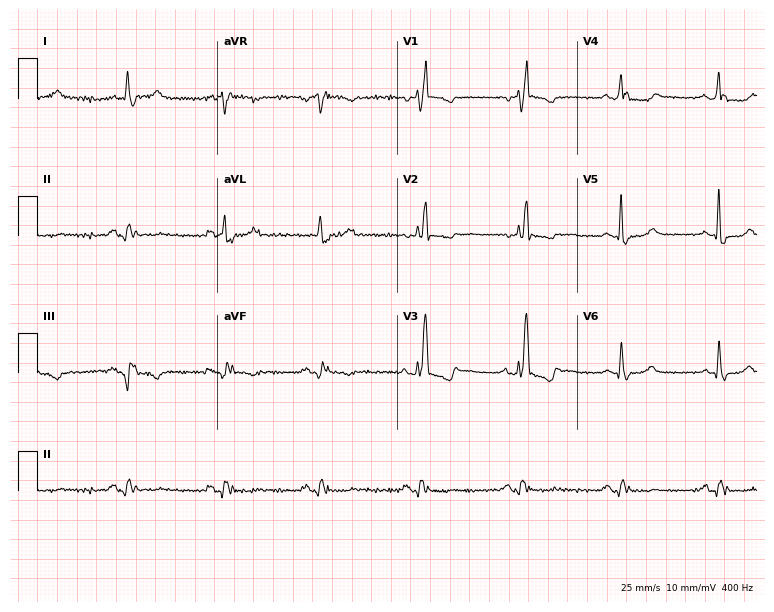
Resting 12-lead electrocardiogram. Patient: a male, 75 years old. The tracing shows right bundle branch block.